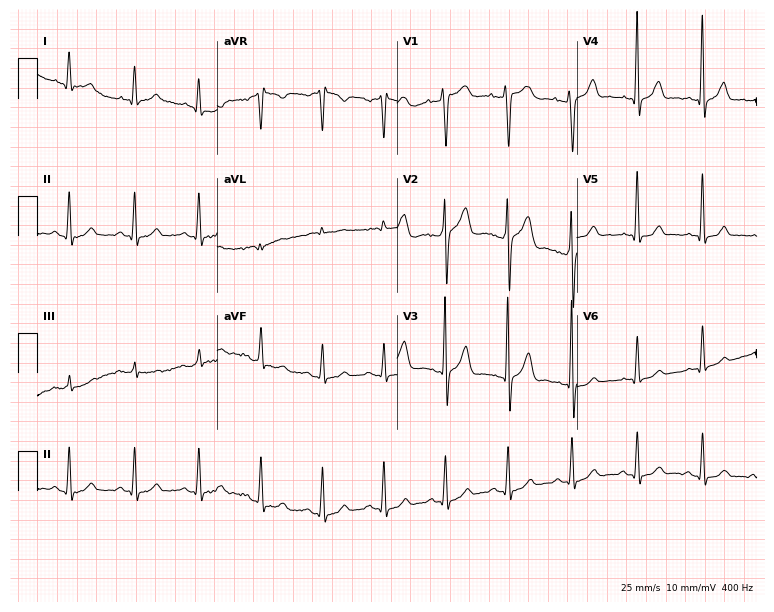
ECG — a male patient, 51 years old. Screened for six findings — first-degree AV block, right bundle branch block, left bundle branch block, sinus bradycardia, atrial fibrillation, sinus tachycardia — none is recorded. Only these six findings were labelled.